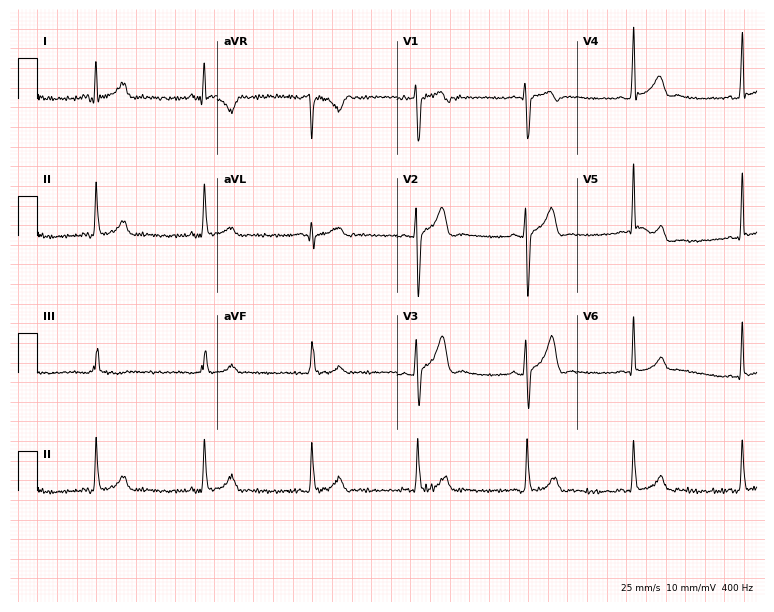
ECG (7.3-second recording at 400 Hz) — a man, 22 years old. Labelled as a normal ECG.